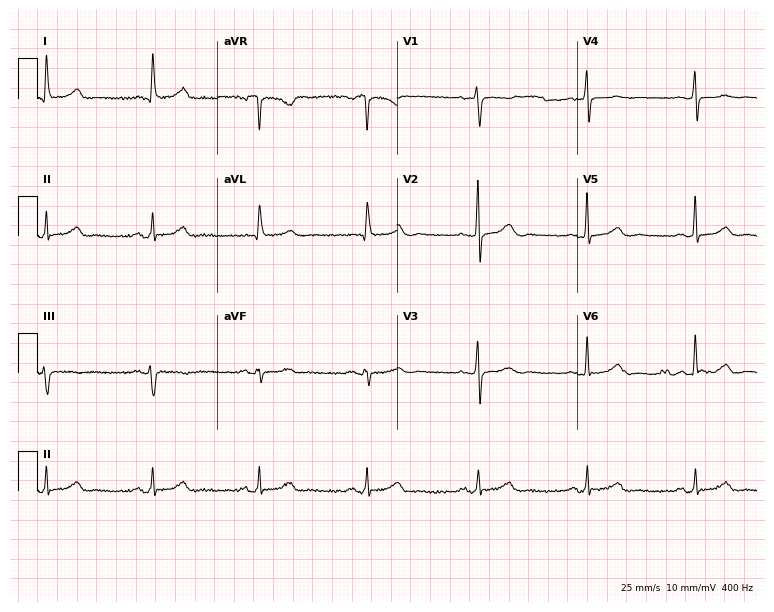
Electrocardiogram (7.3-second recording at 400 Hz), a 62-year-old woman. Overall reading on record: normal ECG.